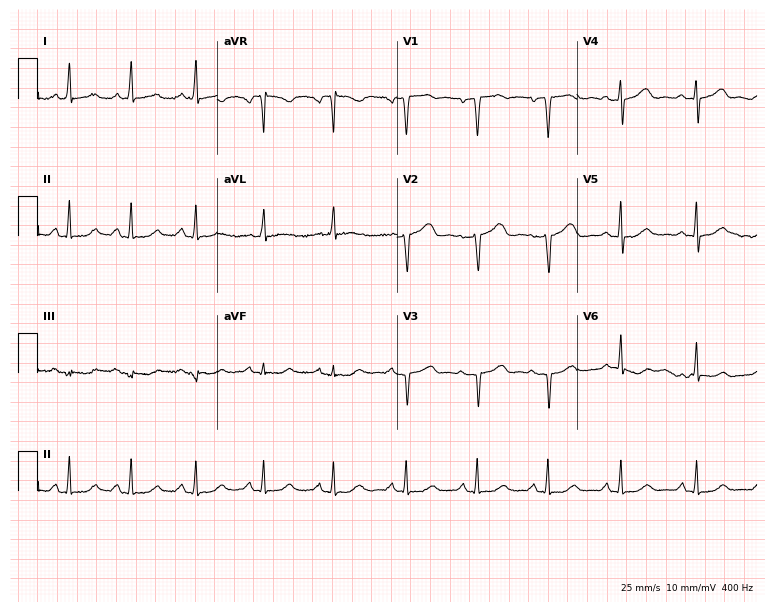
12-lead ECG (7.3-second recording at 400 Hz) from a 49-year-old female. Screened for six findings — first-degree AV block, right bundle branch block, left bundle branch block, sinus bradycardia, atrial fibrillation, sinus tachycardia — none is recorded.